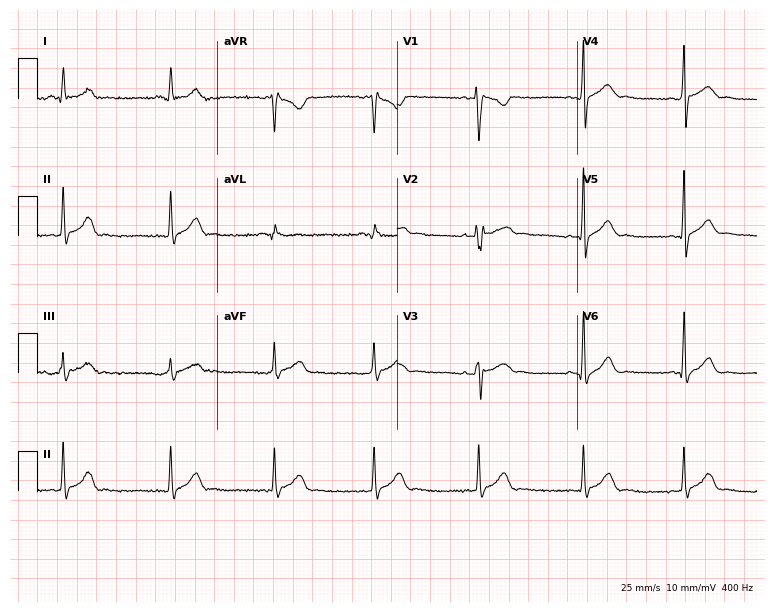
Standard 12-lead ECG recorded from a male patient, 31 years old. None of these six findings is recorded: first-degree AV block, right bundle branch block (RBBB), left bundle branch block (LBBB), sinus bradycardia, atrial fibrillation (AF), sinus tachycardia.